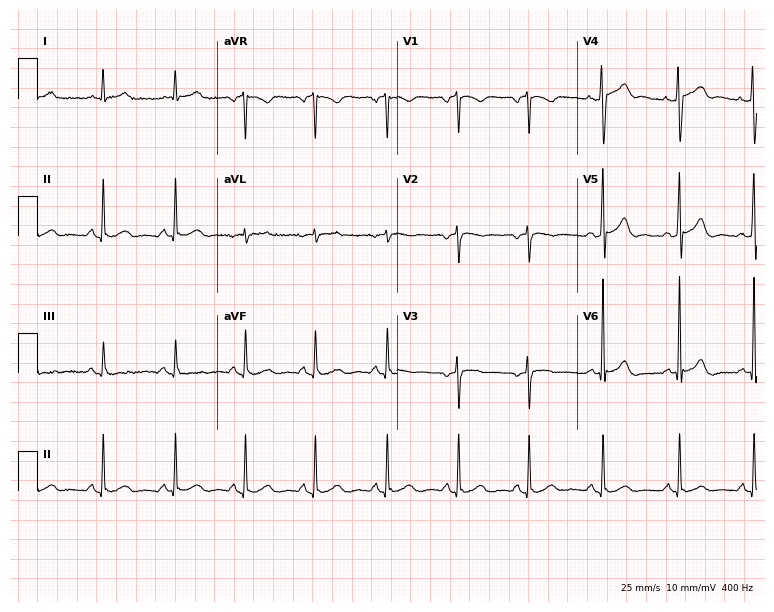
12-lead ECG from a male patient, 56 years old (7.3-second recording at 400 Hz). No first-degree AV block, right bundle branch block, left bundle branch block, sinus bradycardia, atrial fibrillation or sinus tachycardia recorded for this tracing.